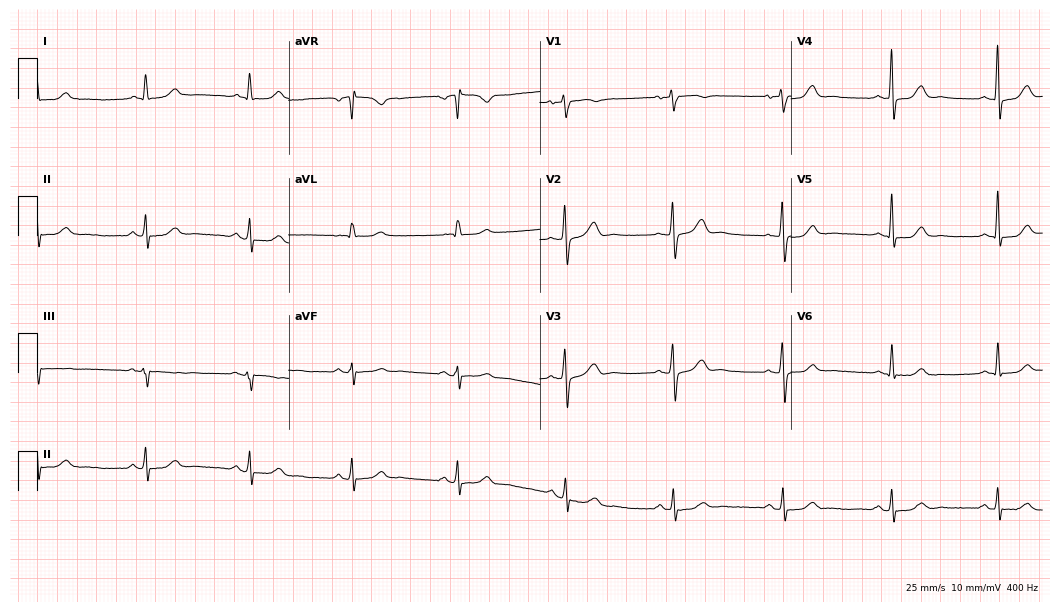
Resting 12-lead electrocardiogram (10.2-second recording at 400 Hz). Patient: a woman, 70 years old. Read as a normal ECG.